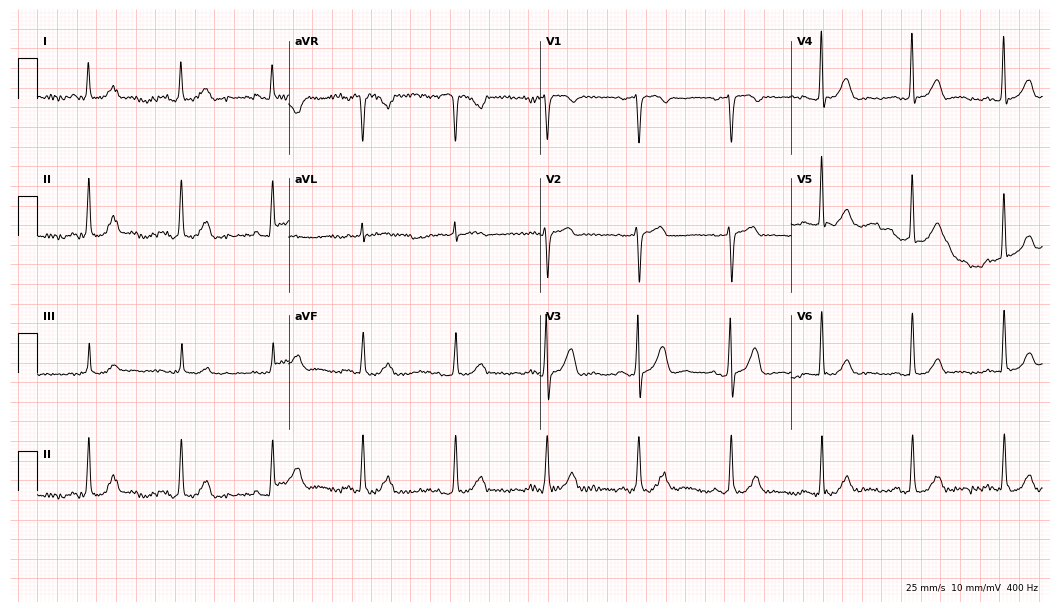
Standard 12-lead ECG recorded from a 71-year-old male (10.2-second recording at 400 Hz). Read as a normal ECG.